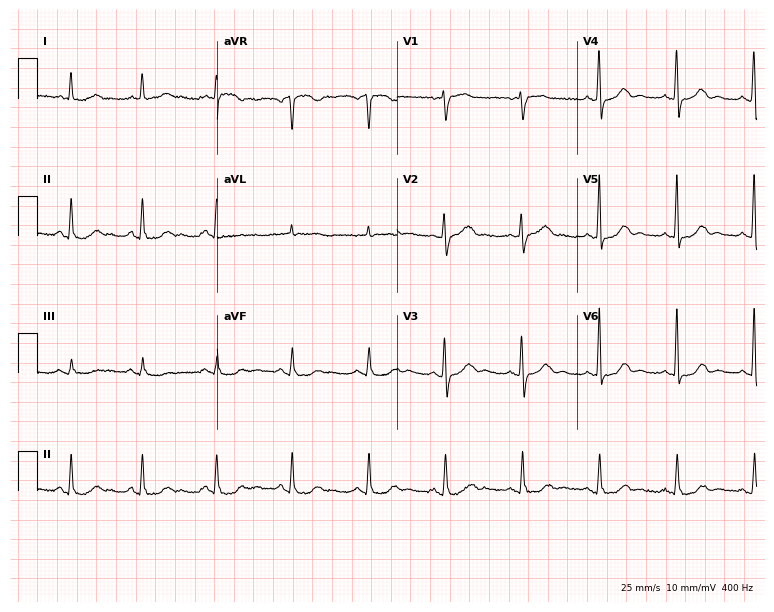
Electrocardiogram, a 60-year-old female. Of the six screened findings (first-degree AV block, right bundle branch block, left bundle branch block, sinus bradycardia, atrial fibrillation, sinus tachycardia), none is recorded. Findings outside these six are not listed.